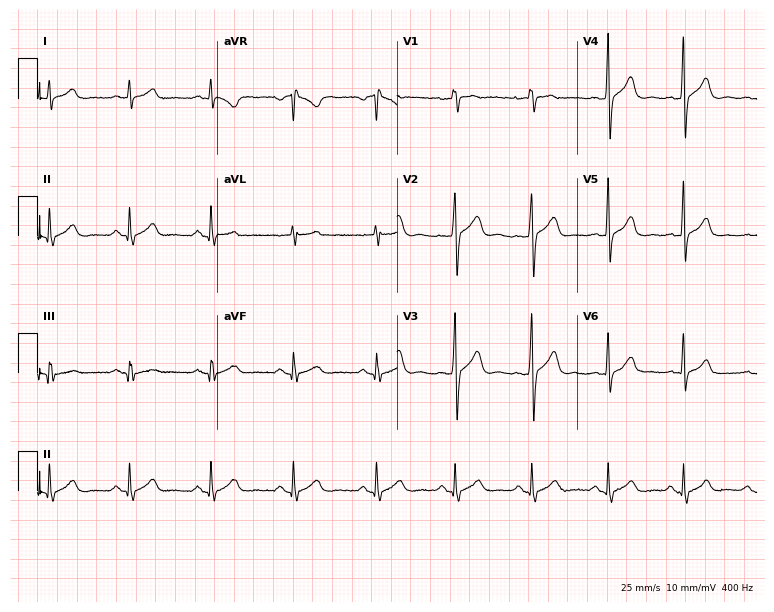
Resting 12-lead electrocardiogram. Patient: a 29-year-old woman. Read as a normal ECG.